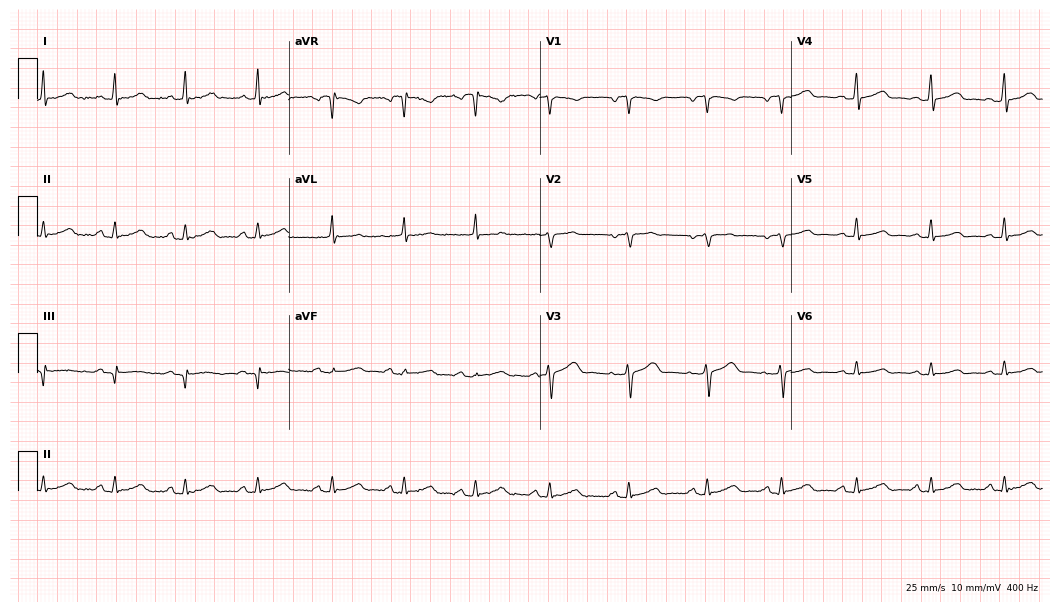
Electrocardiogram, a 48-year-old woman. Of the six screened findings (first-degree AV block, right bundle branch block (RBBB), left bundle branch block (LBBB), sinus bradycardia, atrial fibrillation (AF), sinus tachycardia), none is recorded.